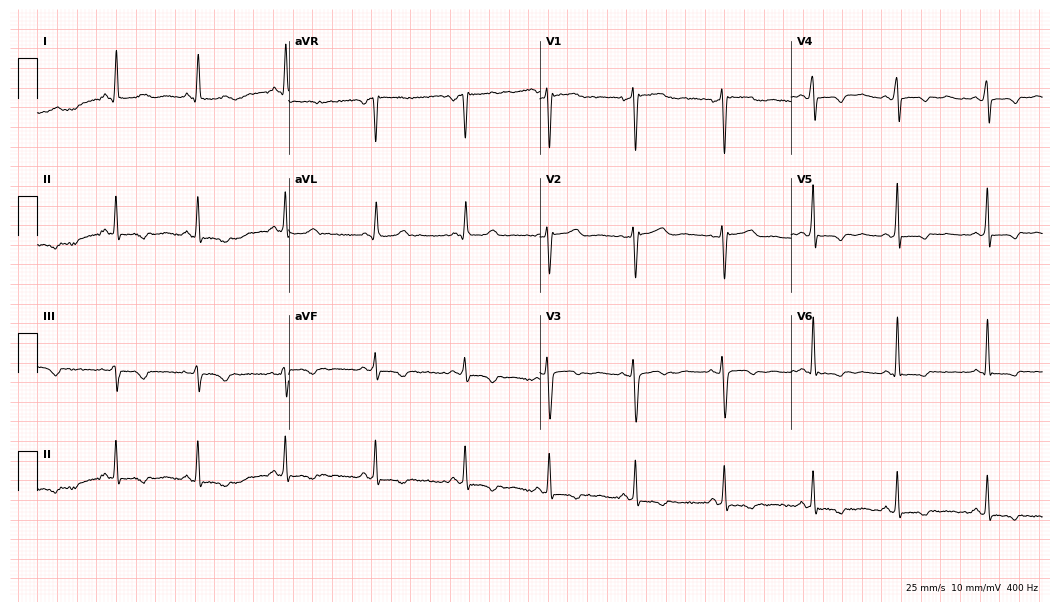
ECG (10.2-second recording at 400 Hz) — a female, 35 years old. Screened for six findings — first-degree AV block, right bundle branch block, left bundle branch block, sinus bradycardia, atrial fibrillation, sinus tachycardia — none is recorded. Findings outside these six are not listed.